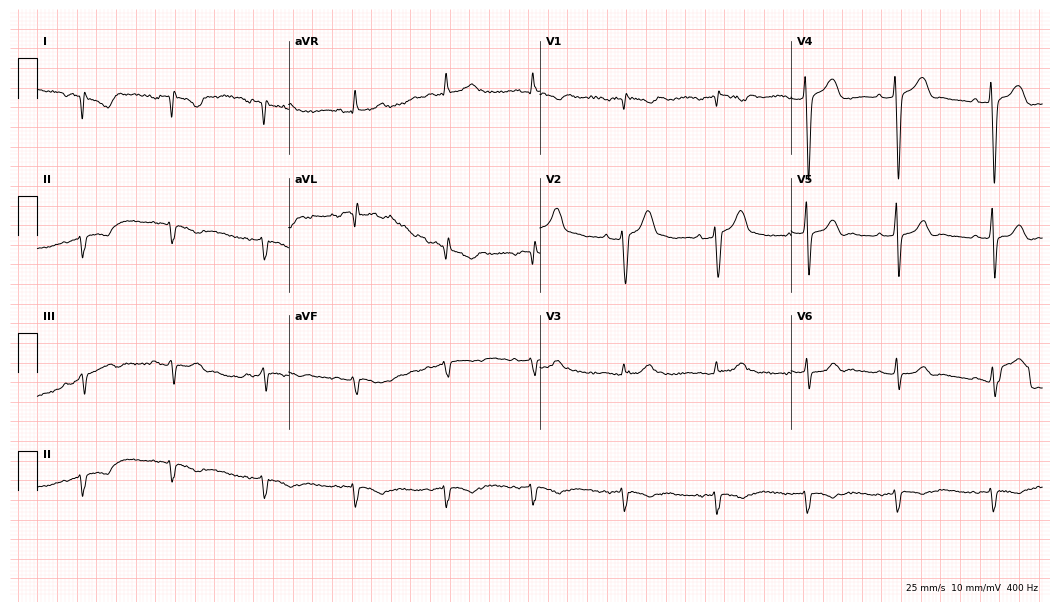
12-lead ECG from a 28-year-old man. Screened for six findings — first-degree AV block, right bundle branch block (RBBB), left bundle branch block (LBBB), sinus bradycardia, atrial fibrillation (AF), sinus tachycardia — none is recorded. Only these six findings were labelled.